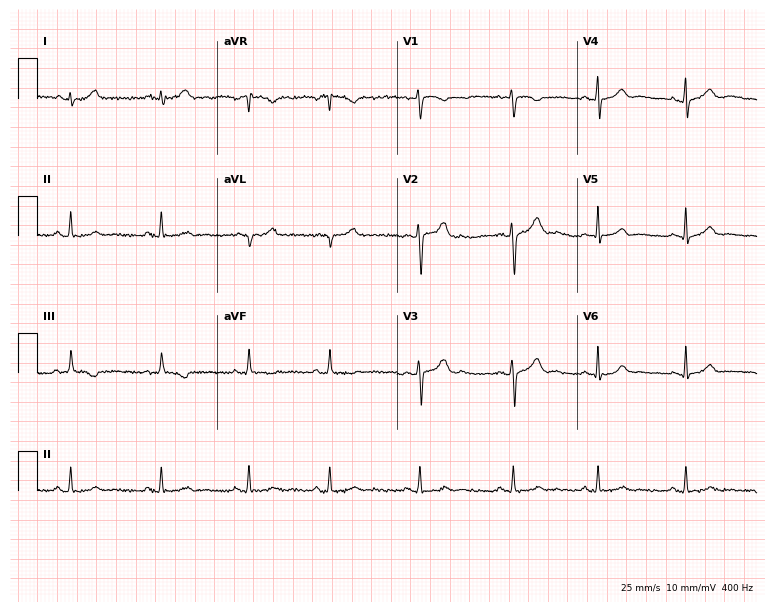
12-lead ECG from a female, 28 years old. Screened for six findings — first-degree AV block, right bundle branch block, left bundle branch block, sinus bradycardia, atrial fibrillation, sinus tachycardia — none is recorded.